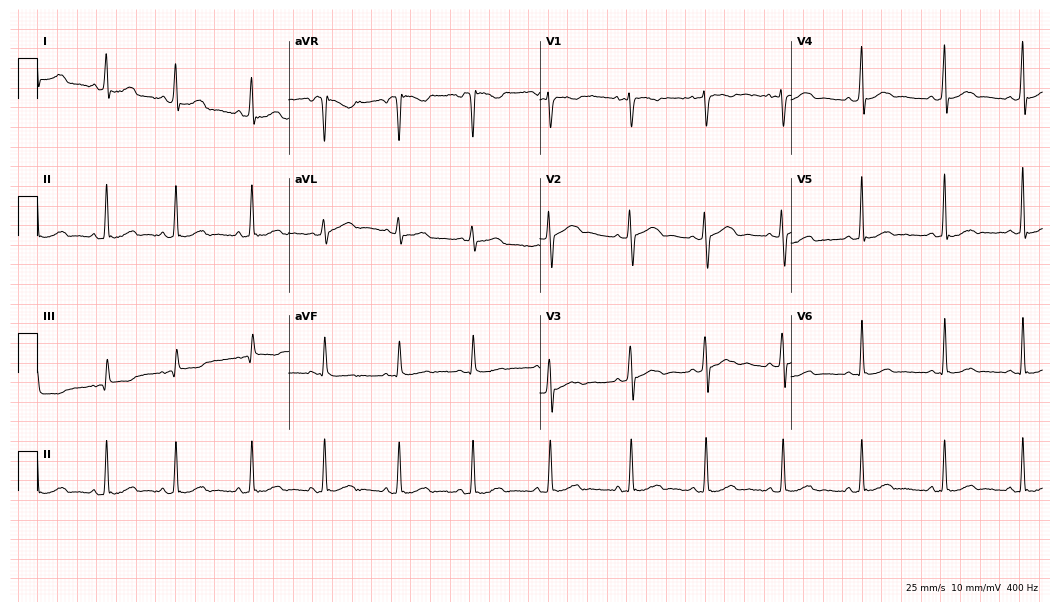
12-lead ECG (10.2-second recording at 400 Hz) from a female patient, 25 years old. Labelled as a normal ECG.